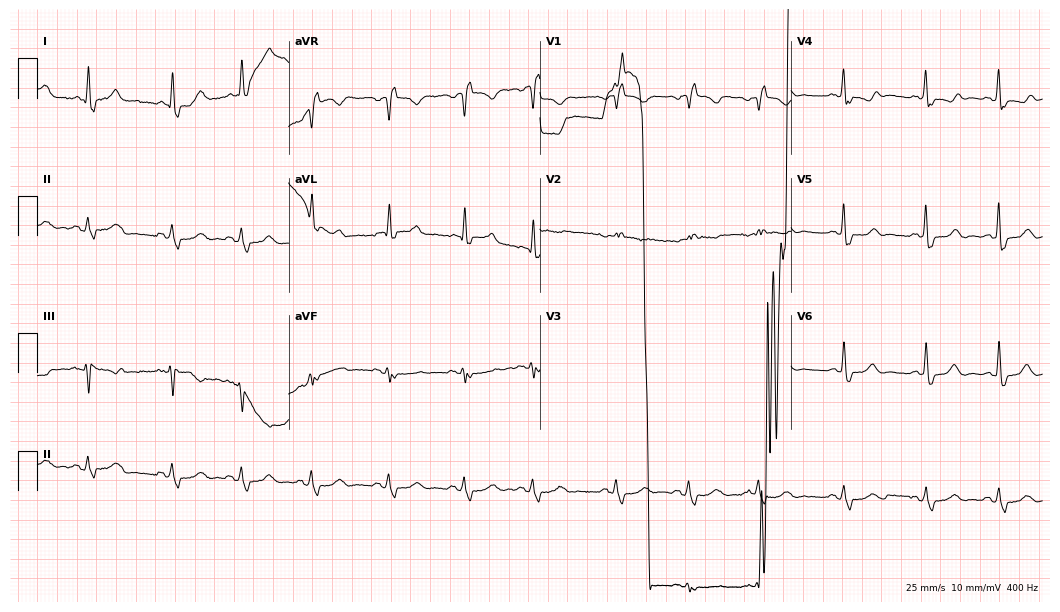
ECG (10.2-second recording at 400 Hz) — an 84-year-old female. Screened for six findings — first-degree AV block, right bundle branch block, left bundle branch block, sinus bradycardia, atrial fibrillation, sinus tachycardia — none is recorded. Findings outside these six are not listed.